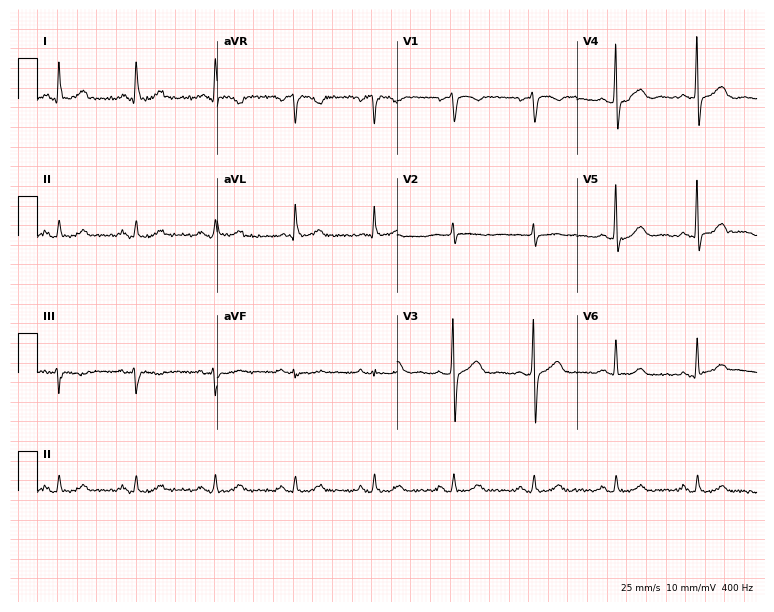
12-lead ECG from a 63-year-old male. Recorded interpretation: within normal limits.